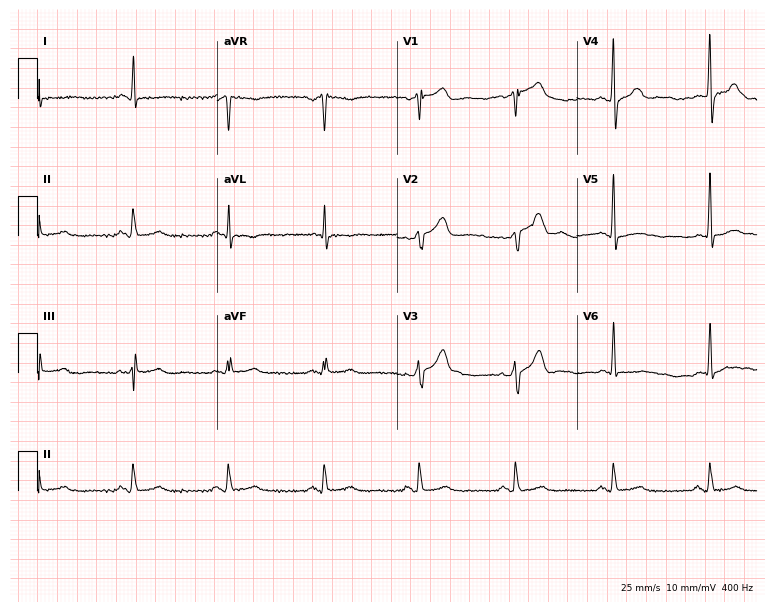
ECG (7.3-second recording at 400 Hz) — a 65-year-old male. Screened for six findings — first-degree AV block, right bundle branch block, left bundle branch block, sinus bradycardia, atrial fibrillation, sinus tachycardia — none is recorded. Other findings, if any, are not listed.